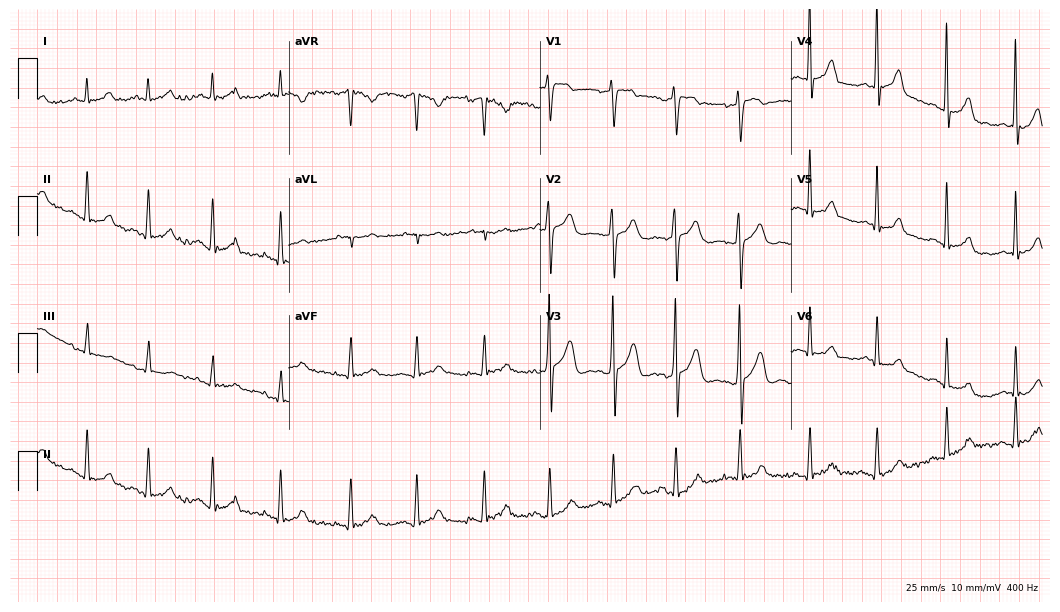
12-lead ECG (10.2-second recording at 400 Hz) from a 27-year-old man. Labelled as a normal ECG.